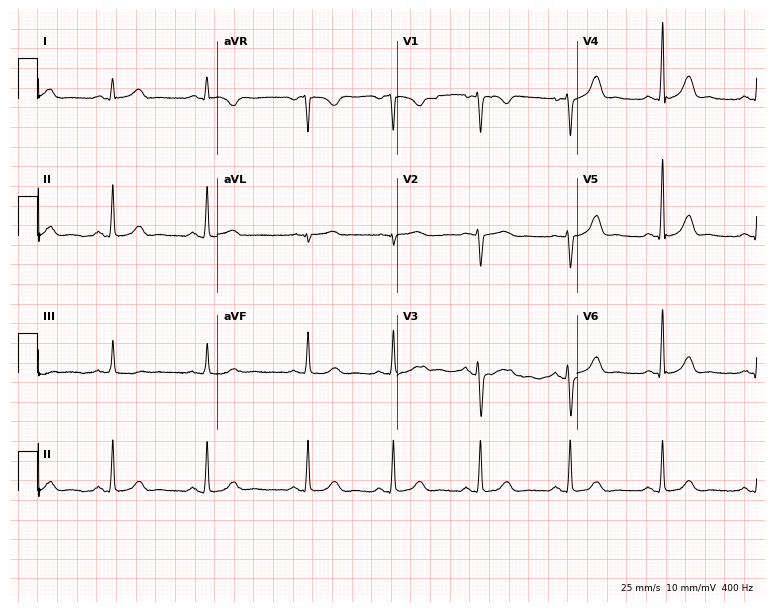
Resting 12-lead electrocardiogram. Patient: a 34-year-old female. None of these six findings is recorded: first-degree AV block, right bundle branch block, left bundle branch block, sinus bradycardia, atrial fibrillation, sinus tachycardia.